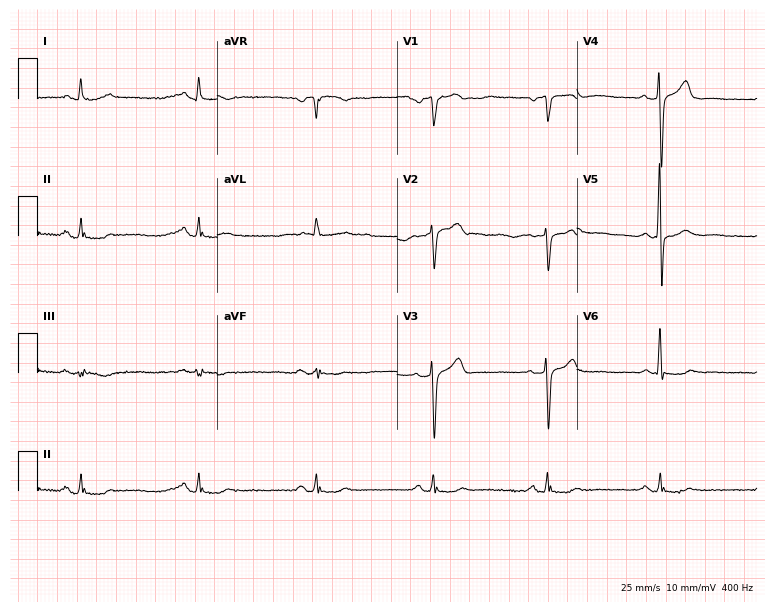
ECG (7.3-second recording at 400 Hz) — a man, 77 years old. Labelled as a normal ECG.